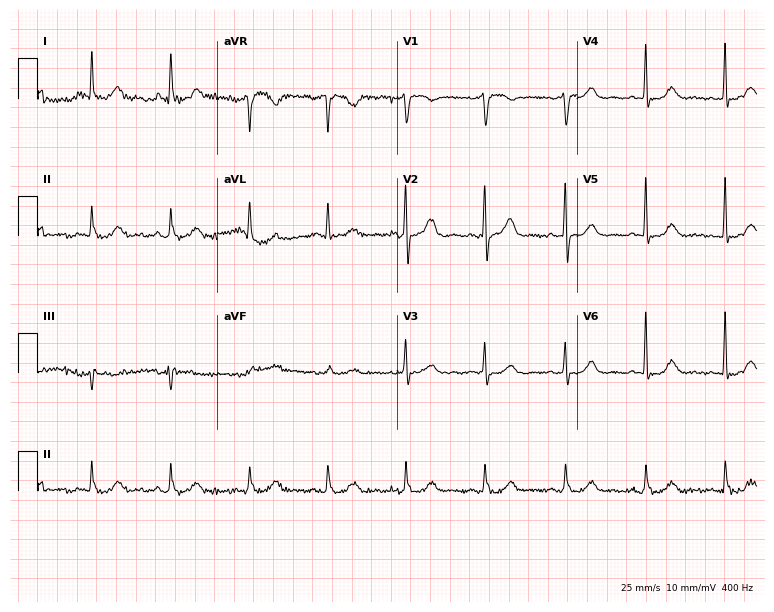
12-lead ECG from a 68-year-old female (7.3-second recording at 400 Hz). Recorded interpretation: within normal limits.